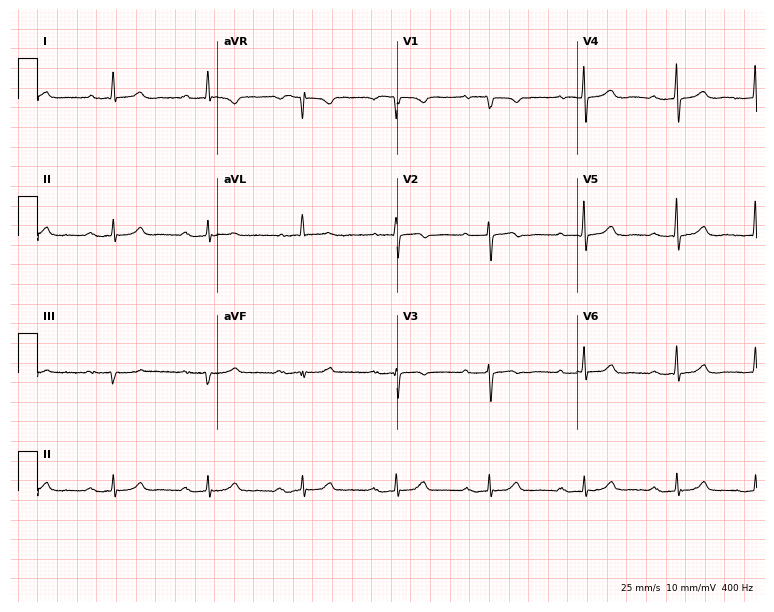
Resting 12-lead electrocardiogram (7.3-second recording at 400 Hz). Patient: a female, 85 years old. None of these six findings is recorded: first-degree AV block, right bundle branch block, left bundle branch block, sinus bradycardia, atrial fibrillation, sinus tachycardia. Other findings, if any, are not listed.